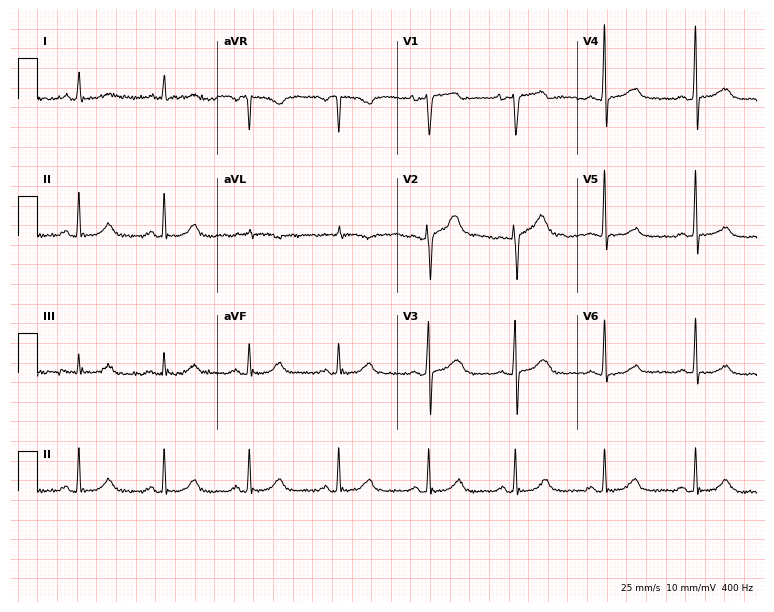
Resting 12-lead electrocardiogram (7.3-second recording at 400 Hz). Patient: a female, 58 years old. None of these six findings is recorded: first-degree AV block, right bundle branch block, left bundle branch block, sinus bradycardia, atrial fibrillation, sinus tachycardia. Other findings, if any, are not listed.